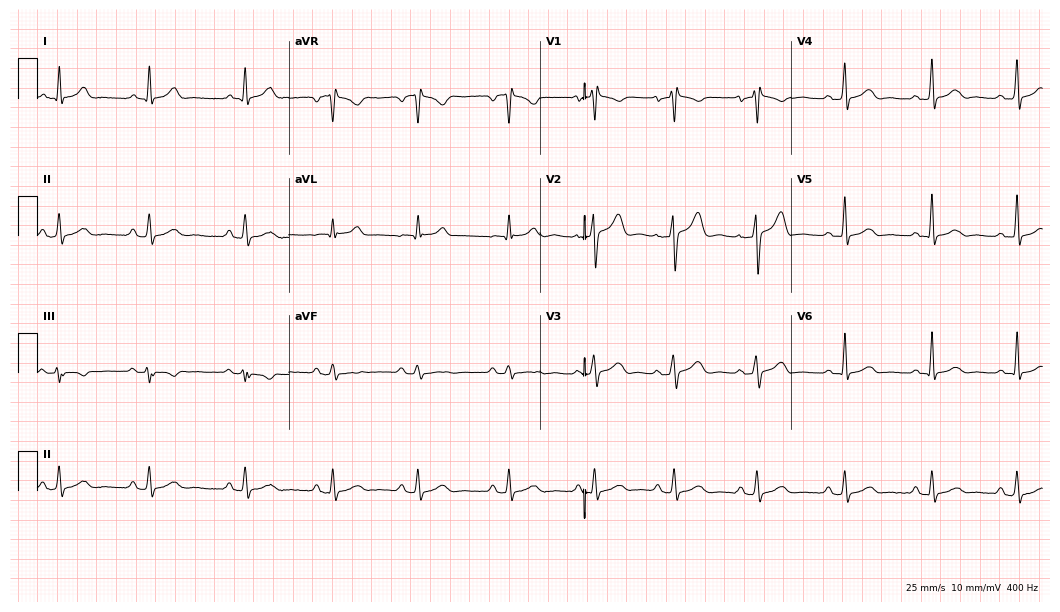
12-lead ECG (10.2-second recording at 400 Hz) from a male, 44 years old. Labelled as a normal ECG.